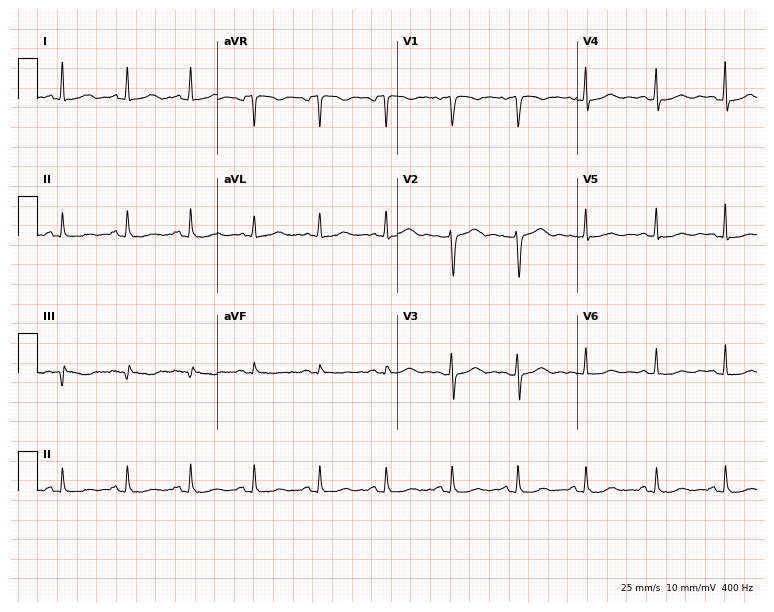
12-lead ECG from a female patient, 41 years old (7.3-second recording at 400 Hz). Recorded interpretation: within normal limits.